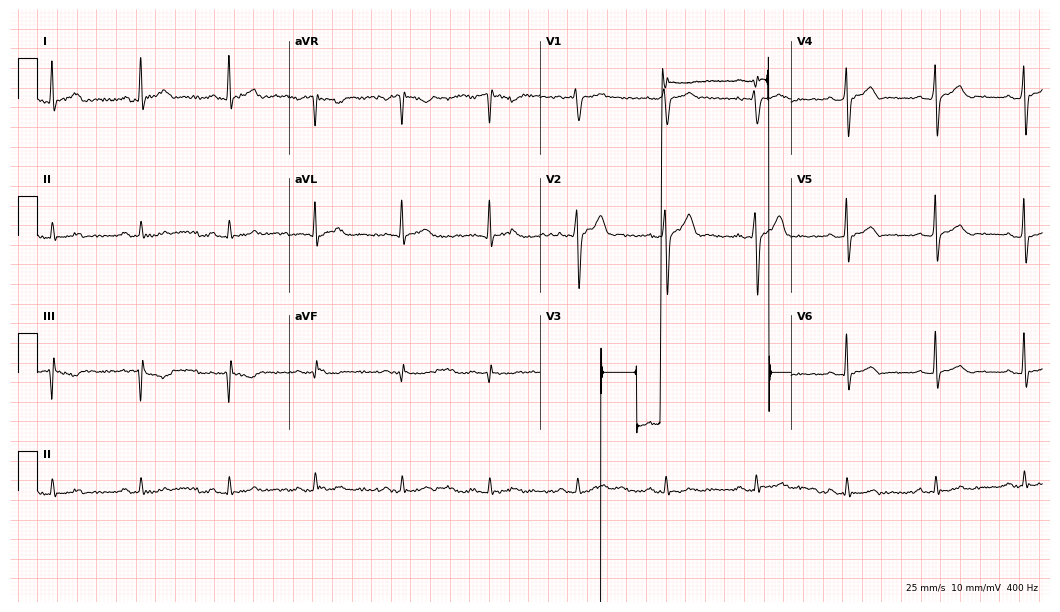
12-lead ECG from a 39-year-old male patient. Screened for six findings — first-degree AV block, right bundle branch block, left bundle branch block, sinus bradycardia, atrial fibrillation, sinus tachycardia — none is recorded. Findings outside these six are not listed.